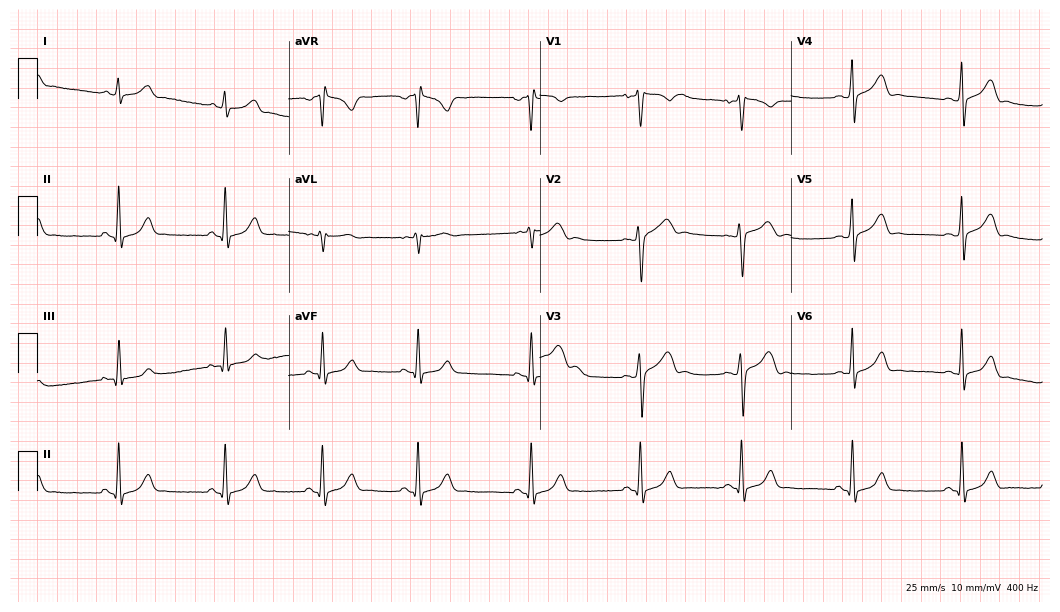
Standard 12-lead ECG recorded from an 18-year-old male. Read as a normal ECG.